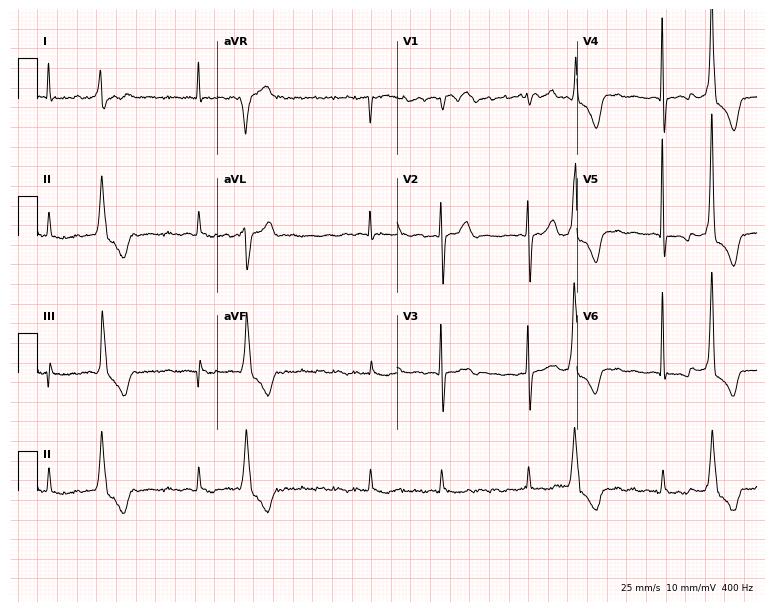
ECG (7.3-second recording at 400 Hz) — an 85-year-old female. Findings include atrial fibrillation (AF).